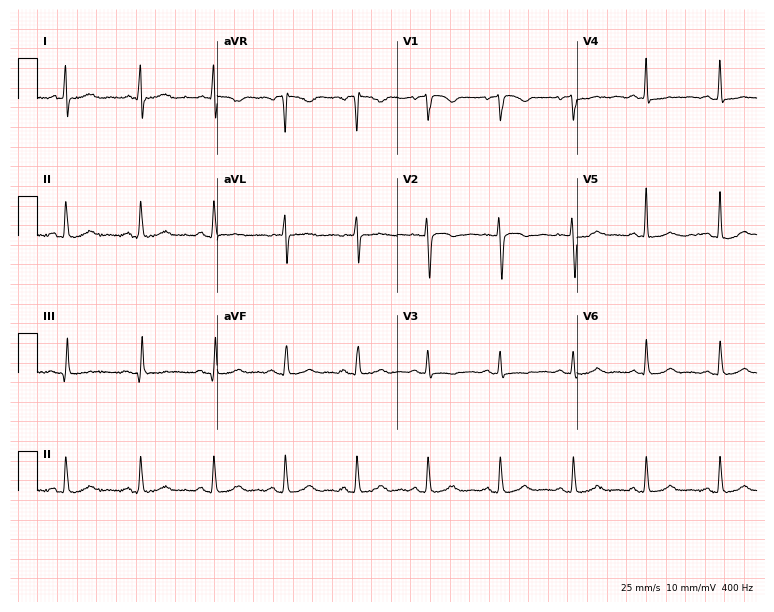
Electrocardiogram (7.3-second recording at 400 Hz), a 51-year-old female. Overall reading on record: normal ECG.